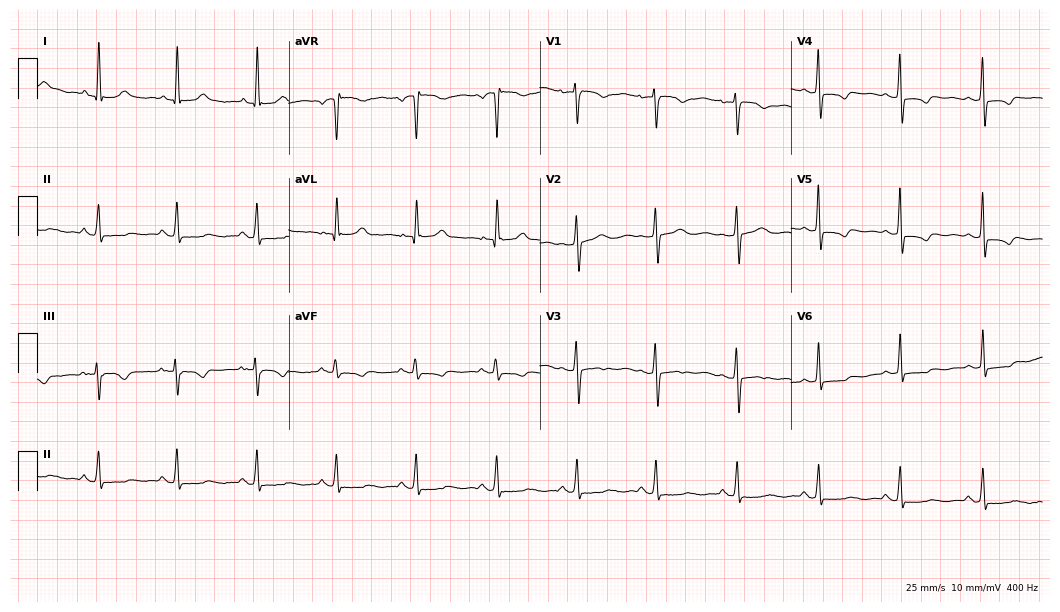
12-lead ECG from a female, 45 years old. No first-degree AV block, right bundle branch block (RBBB), left bundle branch block (LBBB), sinus bradycardia, atrial fibrillation (AF) or sinus tachycardia recorded for this tracing.